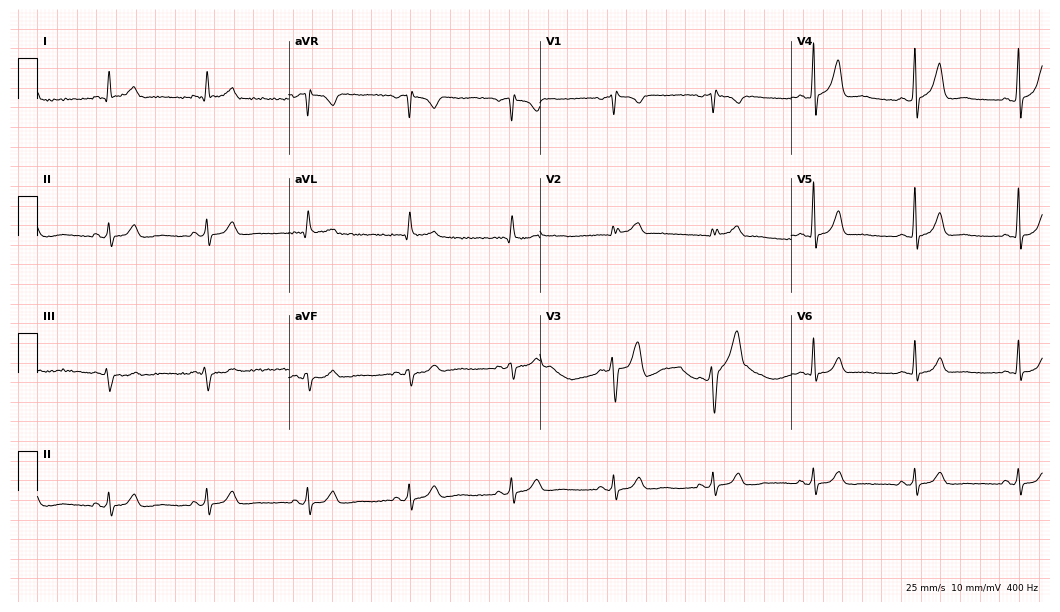
ECG (10.2-second recording at 400 Hz) — a male, 70 years old. Labelled as a normal ECG.